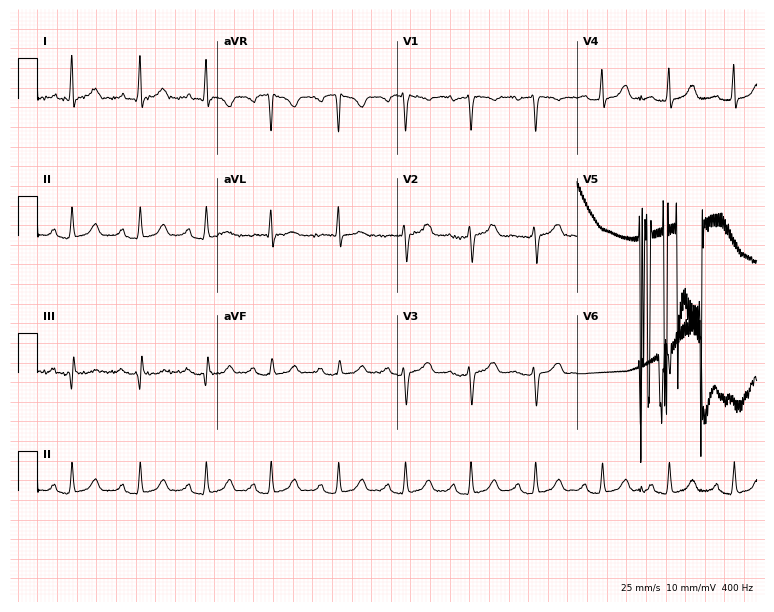
Standard 12-lead ECG recorded from a female patient, 37 years old. None of these six findings is recorded: first-degree AV block, right bundle branch block, left bundle branch block, sinus bradycardia, atrial fibrillation, sinus tachycardia.